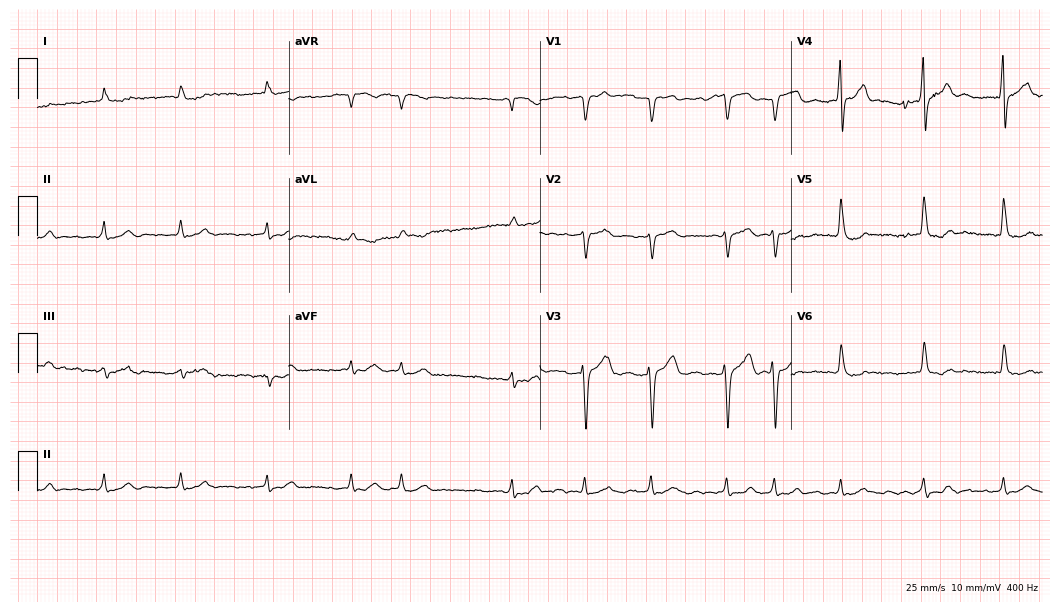
Electrocardiogram (10.2-second recording at 400 Hz), an 85-year-old male. Of the six screened findings (first-degree AV block, right bundle branch block, left bundle branch block, sinus bradycardia, atrial fibrillation, sinus tachycardia), none is recorded.